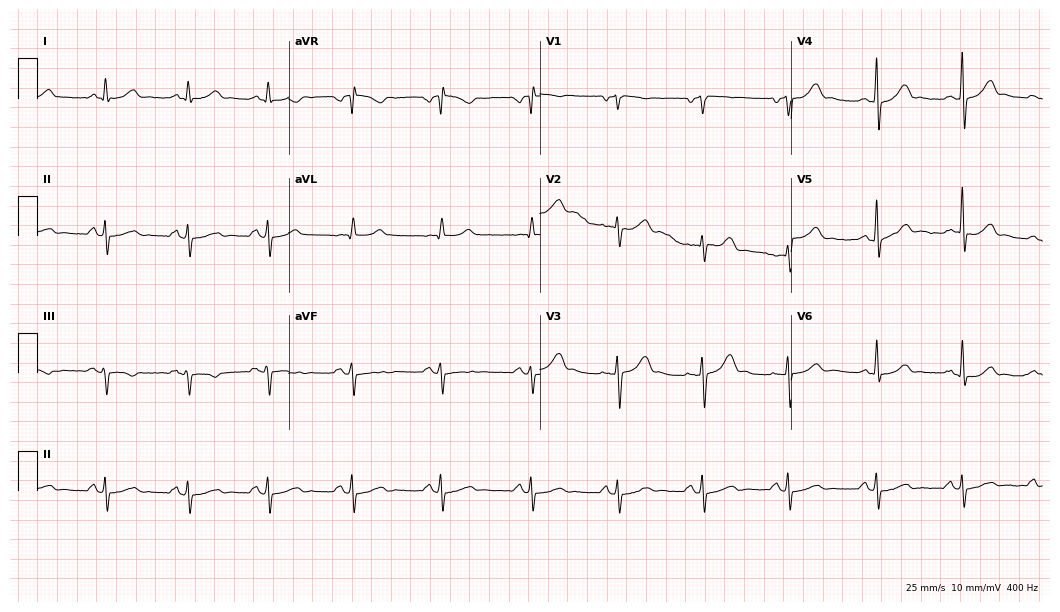
Resting 12-lead electrocardiogram. Patient: a 43-year-old male. Read as a normal ECG.